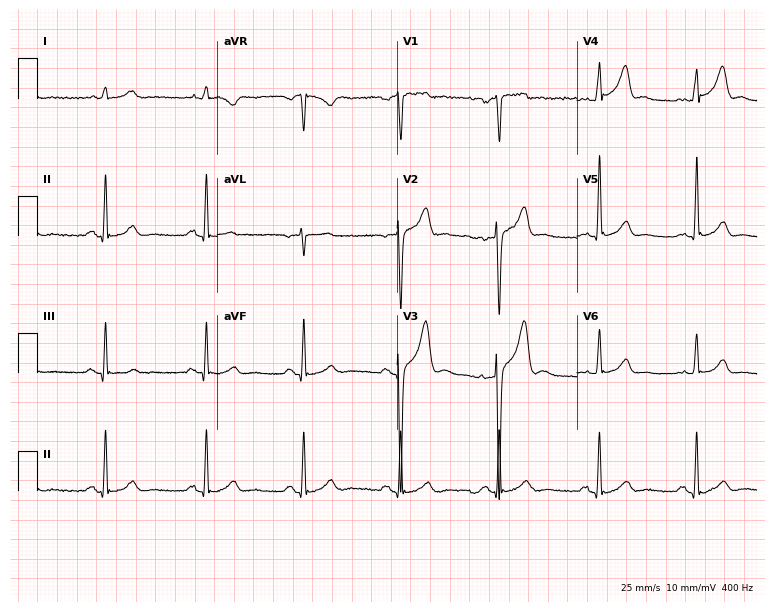
Resting 12-lead electrocardiogram. Patient: a 43-year-old male. Read as a normal ECG.